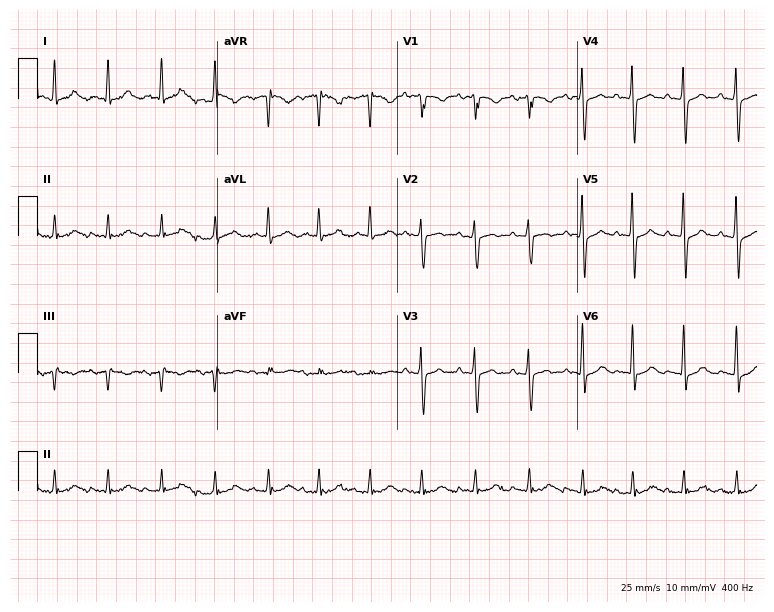
Standard 12-lead ECG recorded from a female, 78 years old. The tracing shows sinus tachycardia (a sinus rate of 100 beats per minute or more).